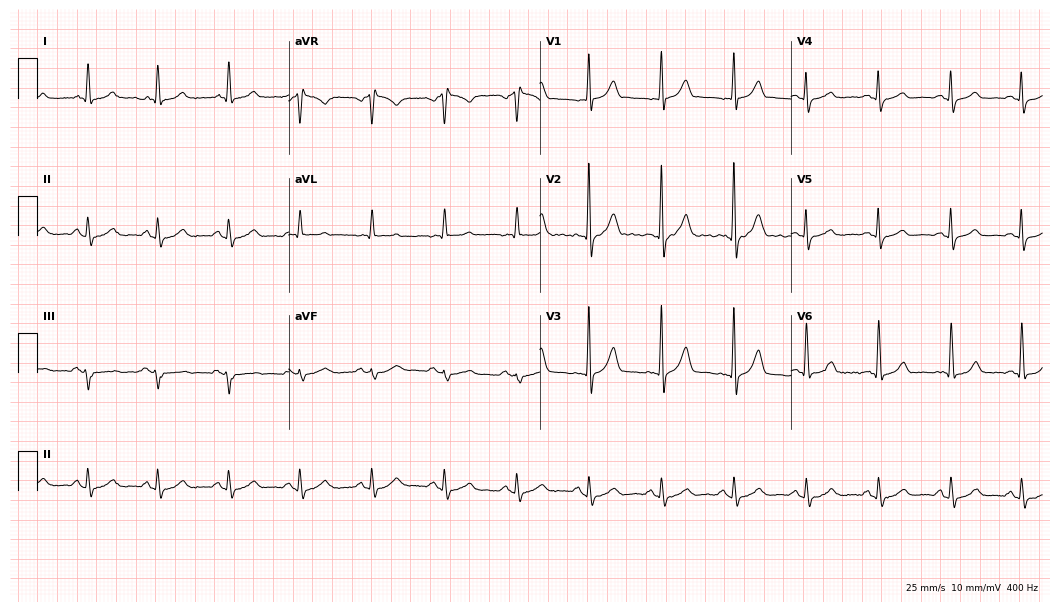
Resting 12-lead electrocardiogram. Patient: a man, 65 years old. None of these six findings is recorded: first-degree AV block, right bundle branch block, left bundle branch block, sinus bradycardia, atrial fibrillation, sinus tachycardia.